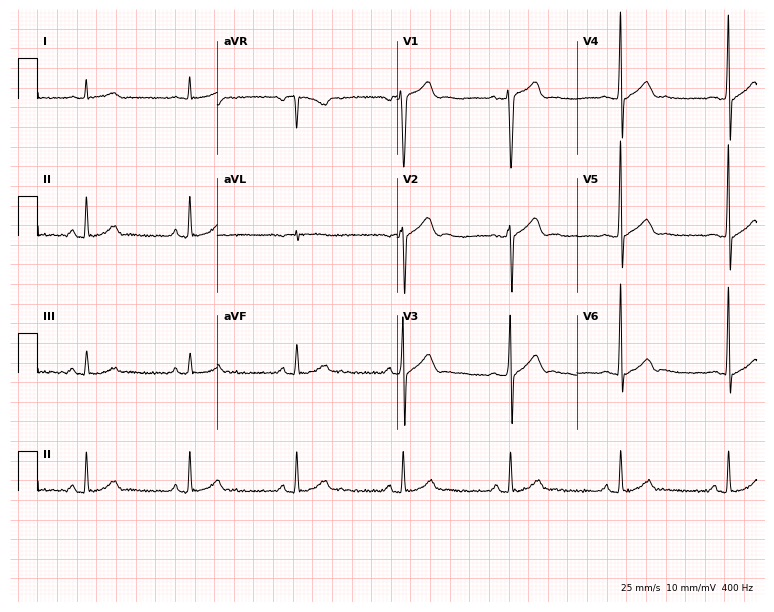
Electrocardiogram, a 43-year-old male. Overall reading on record: normal ECG.